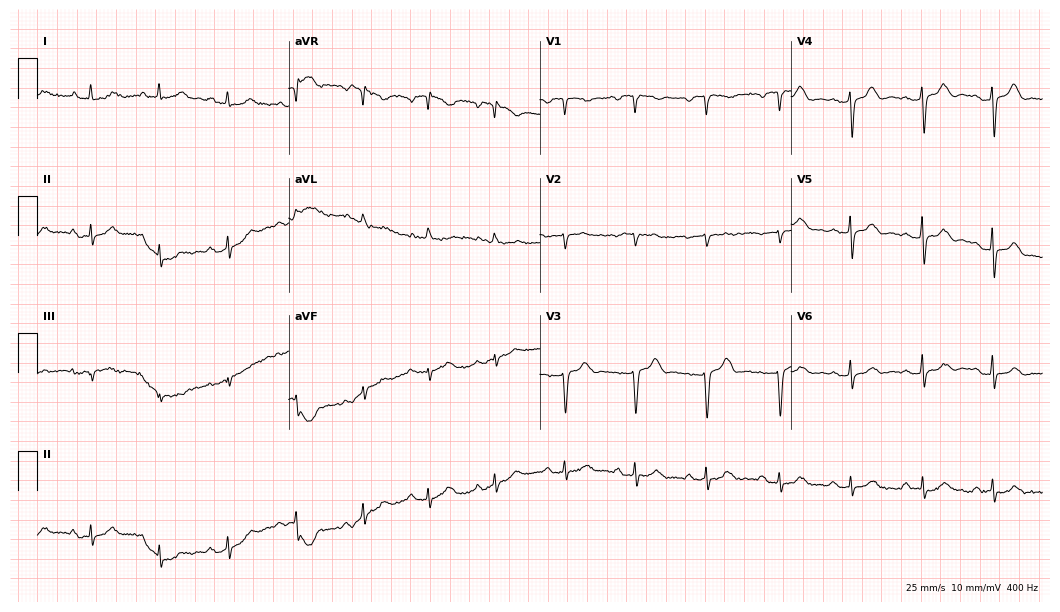
Standard 12-lead ECG recorded from a 72-year-old female (10.2-second recording at 400 Hz). None of these six findings is recorded: first-degree AV block, right bundle branch block (RBBB), left bundle branch block (LBBB), sinus bradycardia, atrial fibrillation (AF), sinus tachycardia.